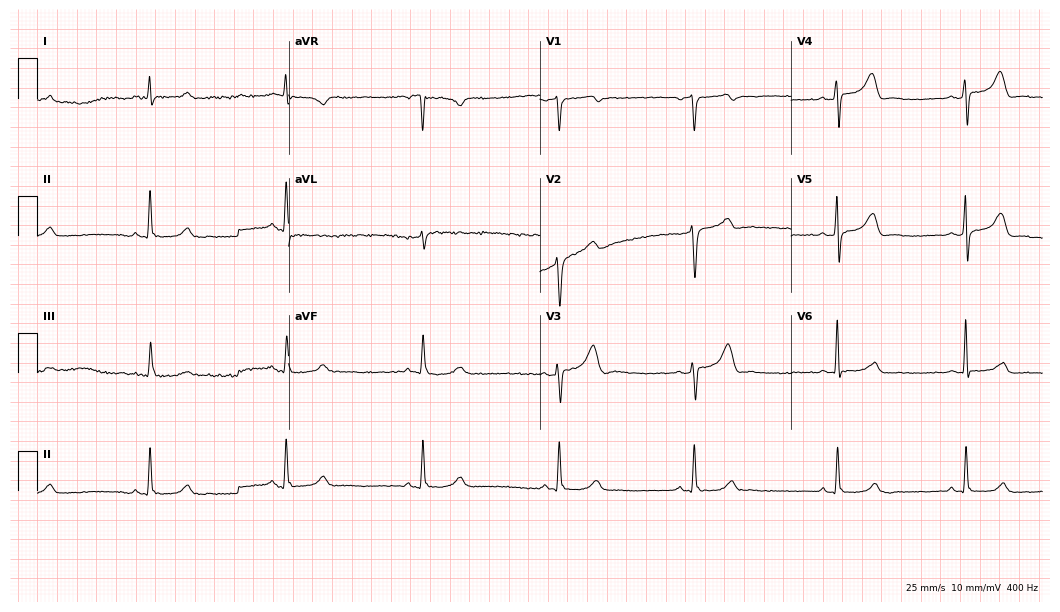
Standard 12-lead ECG recorded from a male patient, 69 years old. The tracing shows sinus bradycardia (a sinus rate of 50 beats per minute or less).